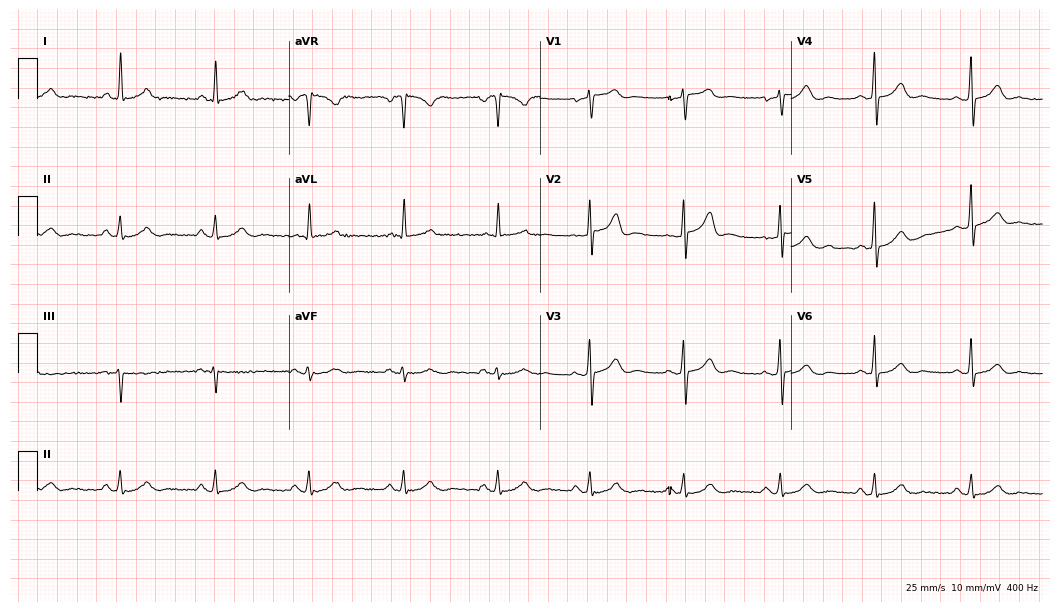
Electrocardiogram, a male patient, 69 years old. Overall reading on record: normal ECG.